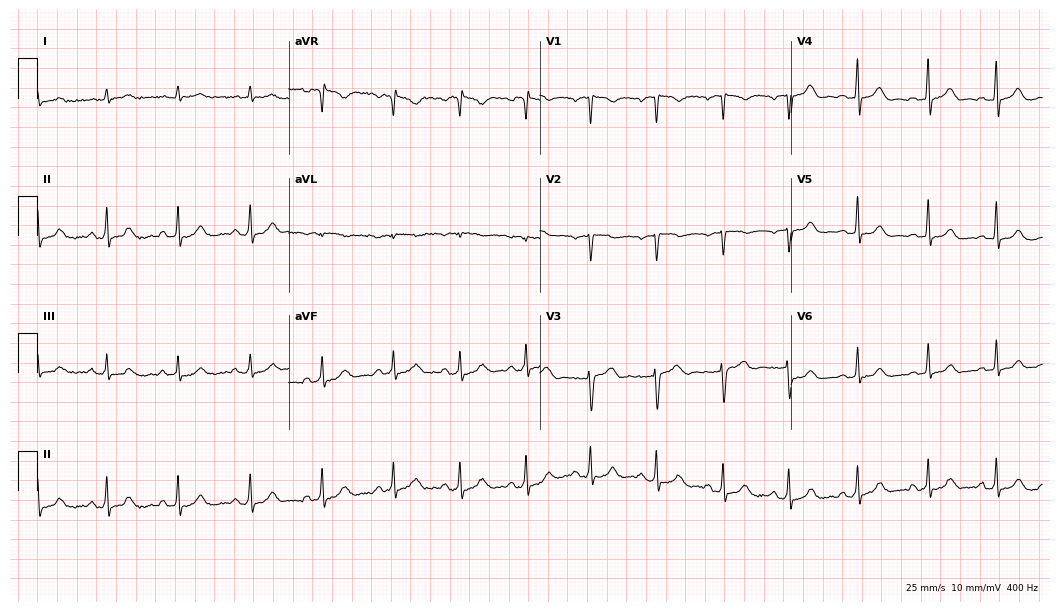
ECG (10.2-second recording at 400 Hz) — a 36-year-old female patient. Screened for six findings — first-degree AV block, right bundle branch block, left bundle branch block, sinus bradycardia, atrial fibrillation, sinus tachycardia — none is recorded.